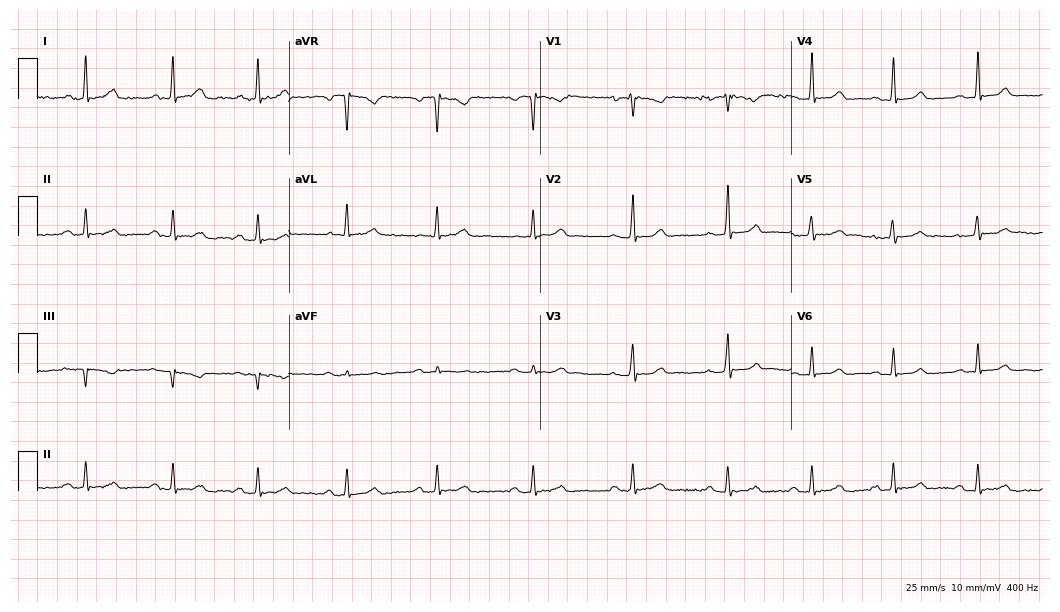
ECG — a 74-year-old female. Labelled as a normal ECG.